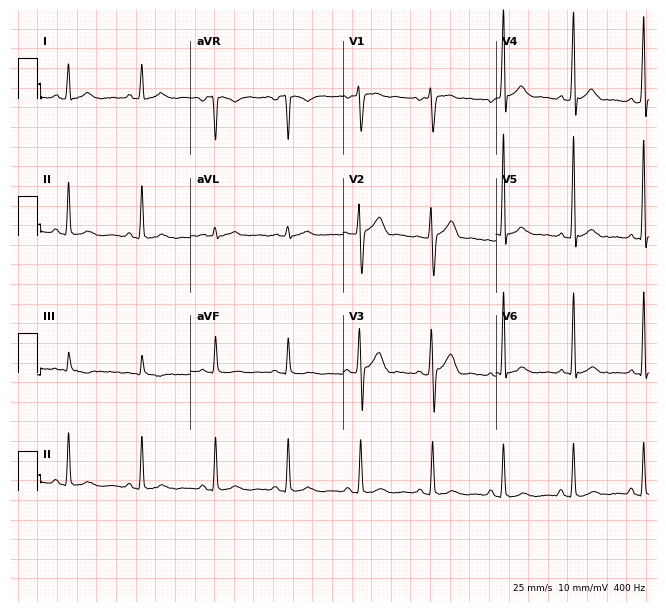
12-lead ECG from a 43-year-old male patient. Screened for six findings — first-degree AV block, right bundle branch block, left bundle branch block, sinus bradycardia, atrial fibrillation, sinus tachycardia — none is recorded.